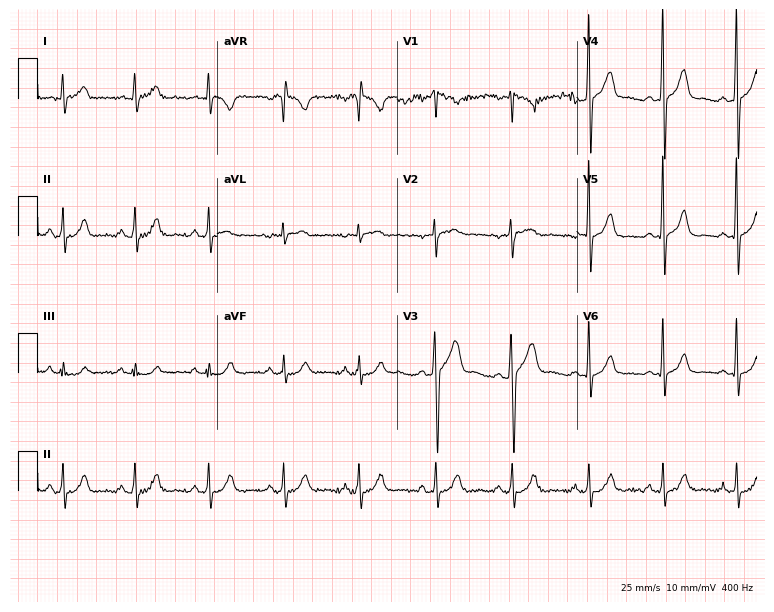
12-lead ECG from a male patient, 44 years old (7.3-second recording at 400 Hz). Recorded interpretation: within normal limits.